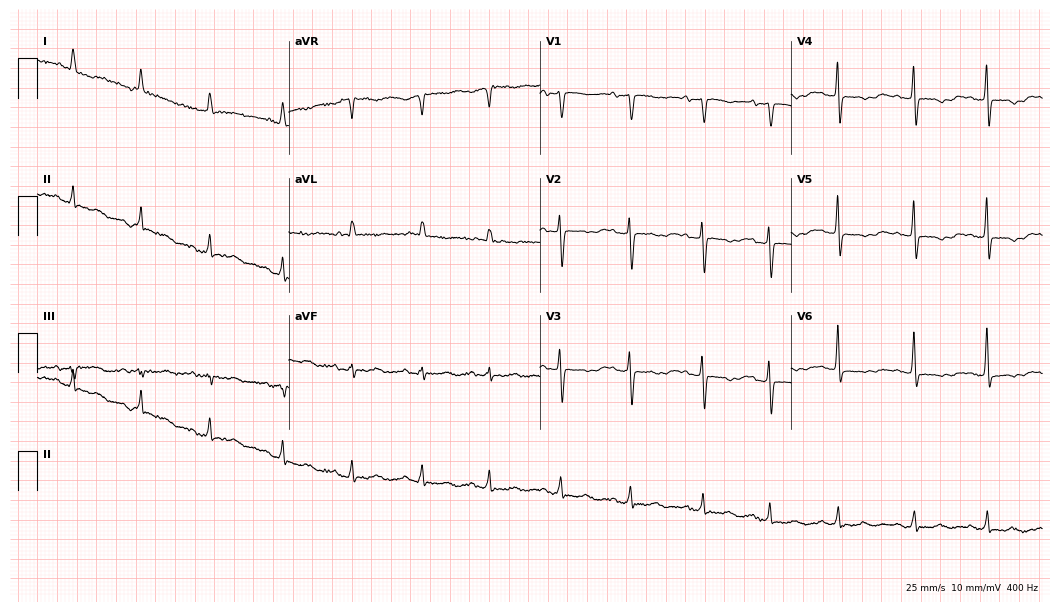
ECG (10.2-second recording at 400 Hz) — a female patient, 77 years old. Screened for six findings — first-degree AV block, right bundle branch block, left bundle branch block, sinus bradycardia, atrial fibrillation, sinus tachycardia — none is recorded. Only these six findings were labelled.